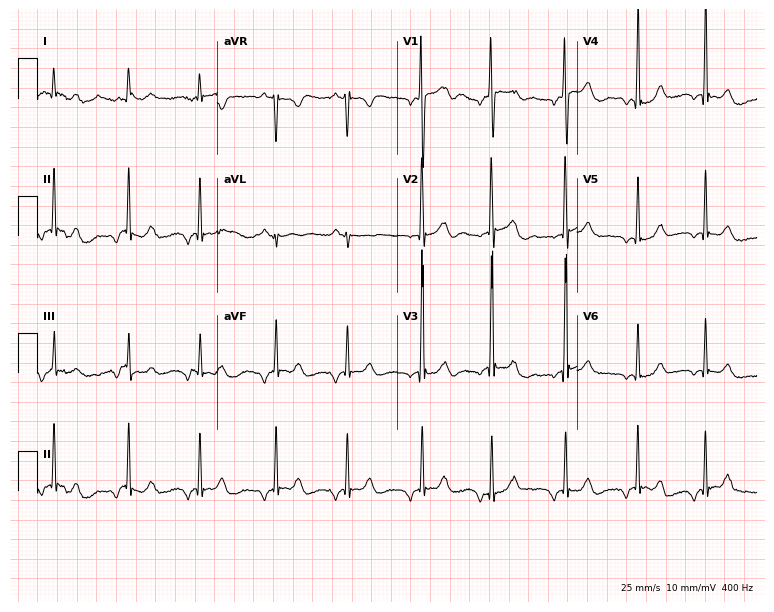
ECG — a man, 18 years old. Screened for six findings — first-degree AV block, right bundle branch block (RBBB), left bundle branch block (LBBB), sinus bradycardia, atrial fibrillation (AF), sinus tachycardia — none is recorded. Findings outside these six are not listed.